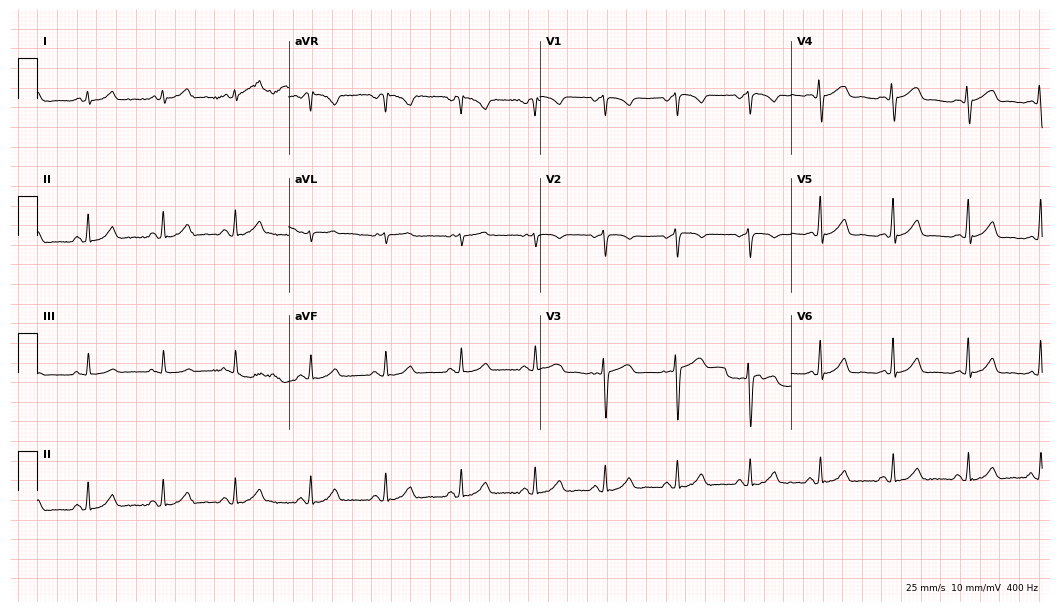
Standard 12-lead ECG recorded from a female patient, 36 years old (10.2-second recording at 400 Hz). None of these six findings is recorded: first-degree AV block, right bundle branch block, left bundle branch block, sinus bradycardia, atrial fibrillation, sinus tachycardia.